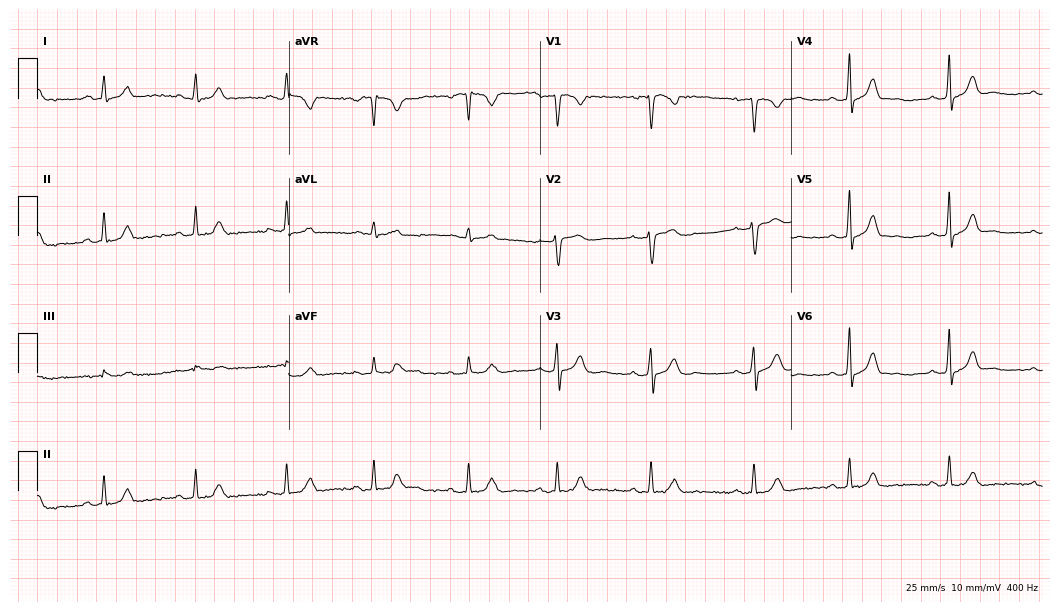
12-lead ECG from a 31-year-old female (10.2-second recording at 400 Hz). Recorded interpretation: within normal limits.